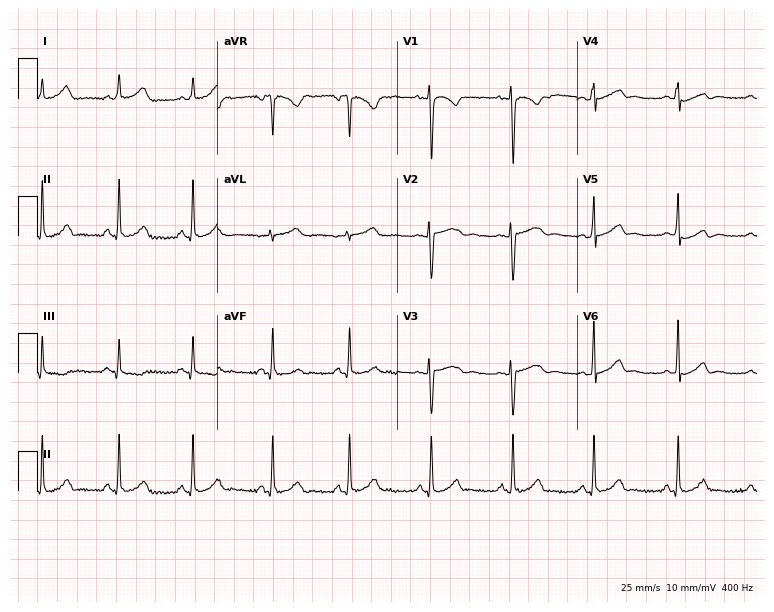
ECG — a female, 23 years old. Labelled as a normal ECG.